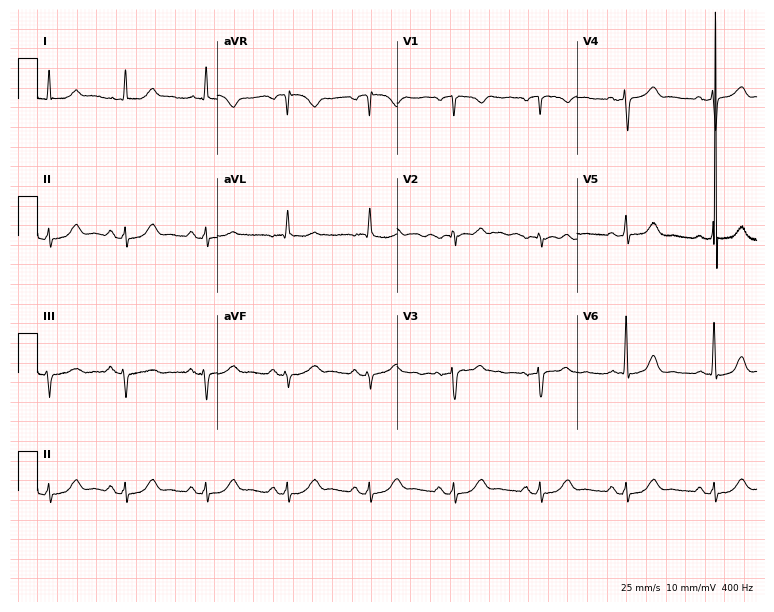
ECG — a 75-year-old male patient. Labelled as a normal ECG.